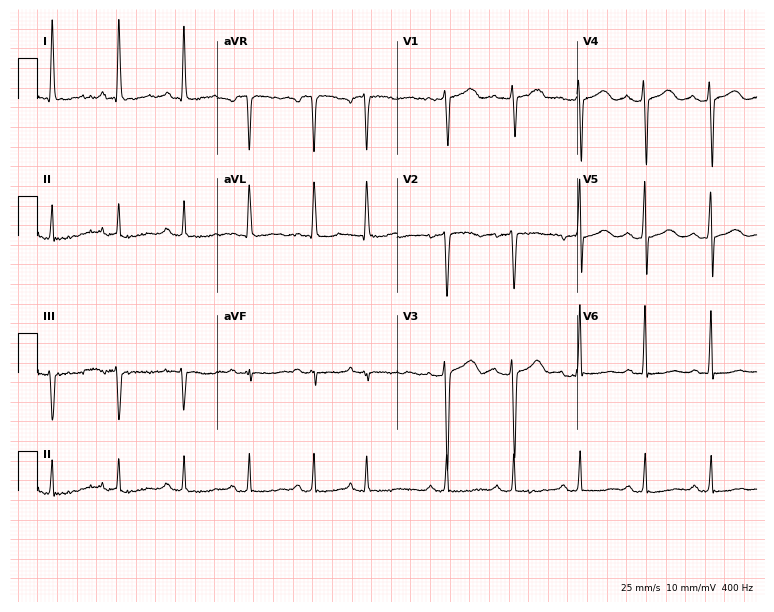
ECG — a 46-year-old female patient. Labelled as a normal ECG.